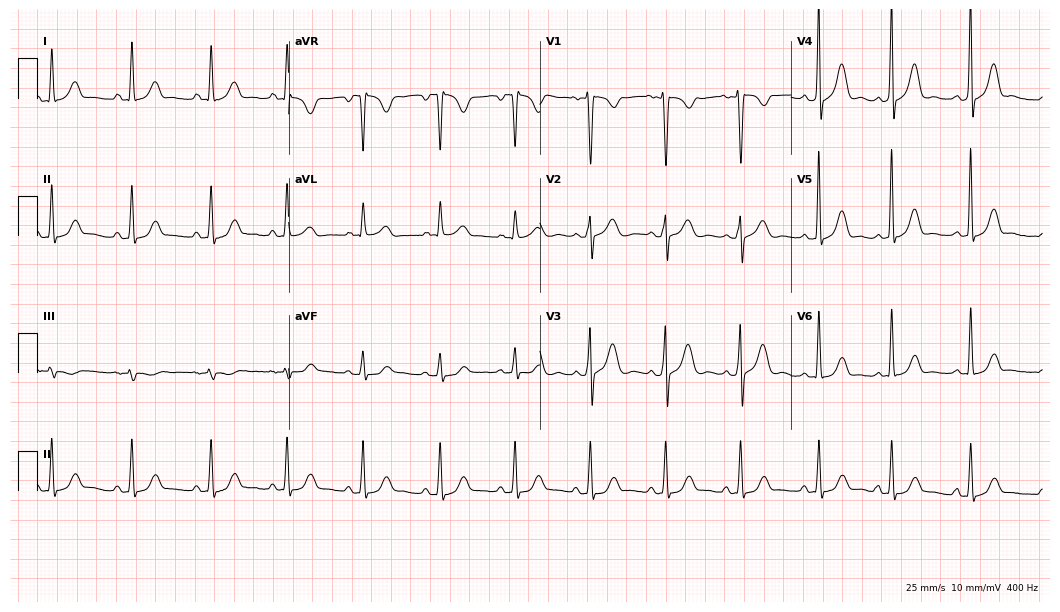
Resting 12-lead electrocardiogram. Patient: a 29-year-old woman. Read as a normal ECG.